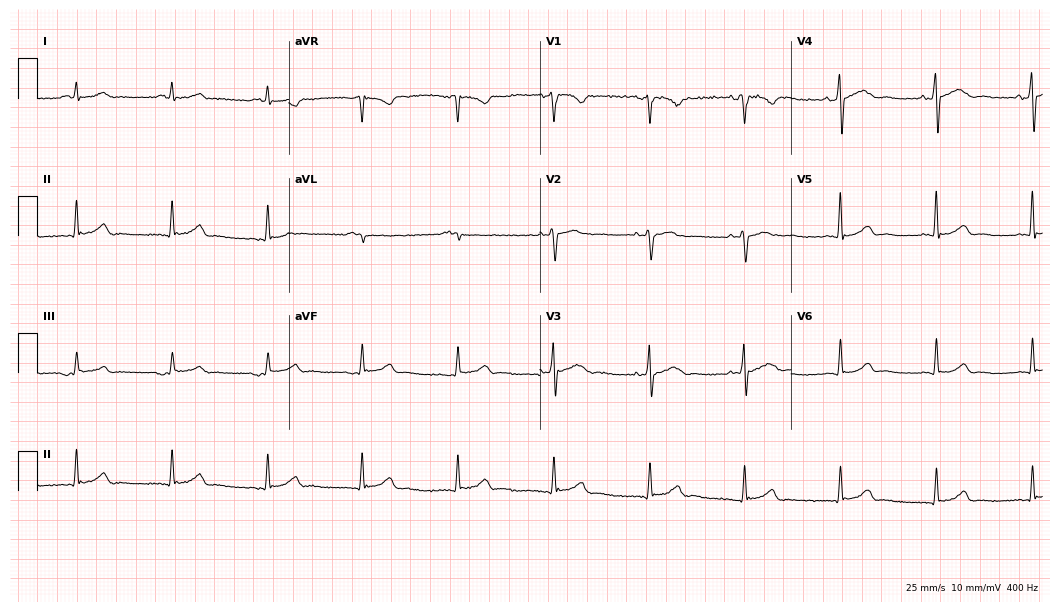
Resting 12-lead electrocardiogram. Patient: a male, 70 years old. Read as a normal ECG.